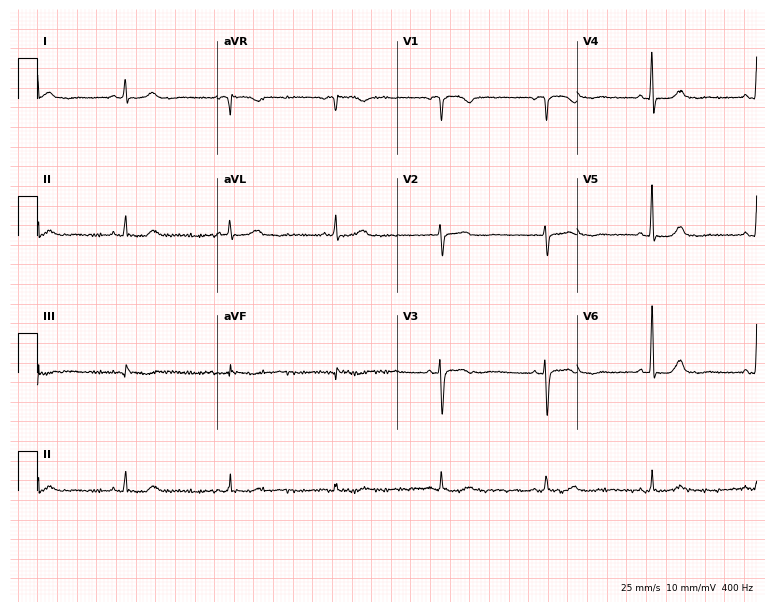
Resting 12-lead electrocardiogram (7.3-second recording at 400 Hz). Patient: a 69-year-old female. None of these six findings is recorded: first-degree AV block, right bundle branch block, left bundle branch block, sinus bradycardia, atrial fibrillation, sinus tachycardia.